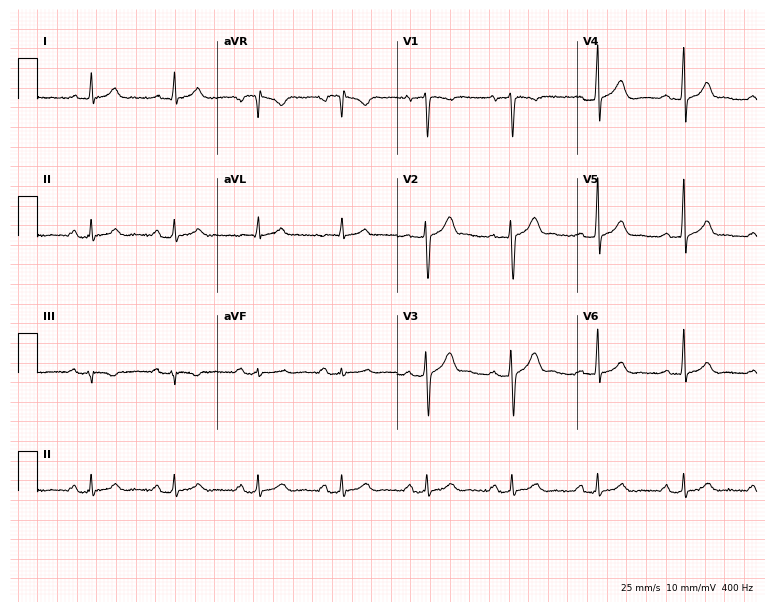
ECG (7.3-second recording at 400 Hz) — a 44-year-old male patient. Labelled as a normal ECG.